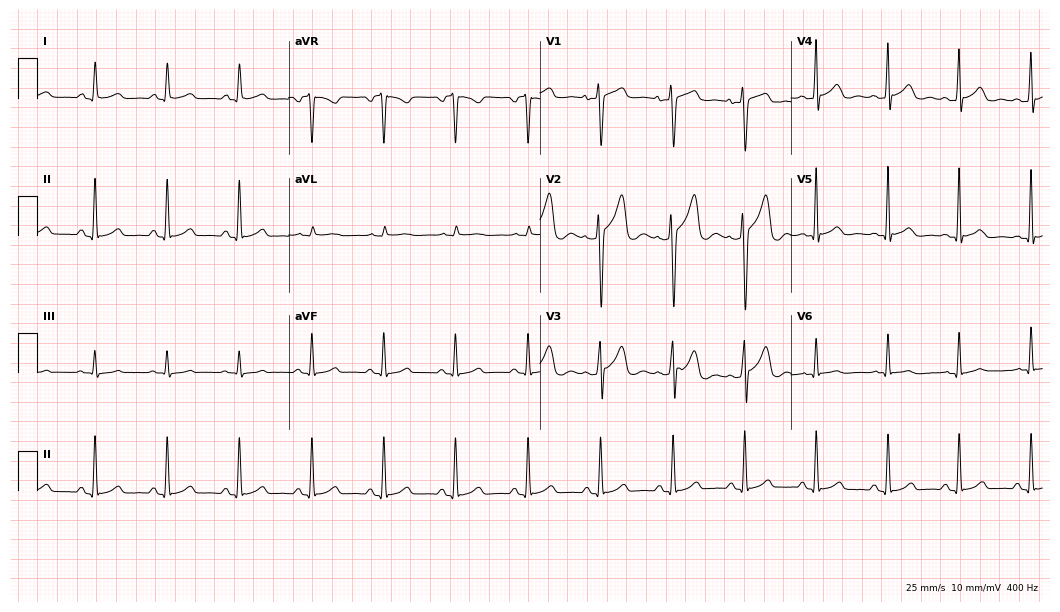
Electrocardiogram, a 30-year-old man. Overall reading on record: normal ECG.